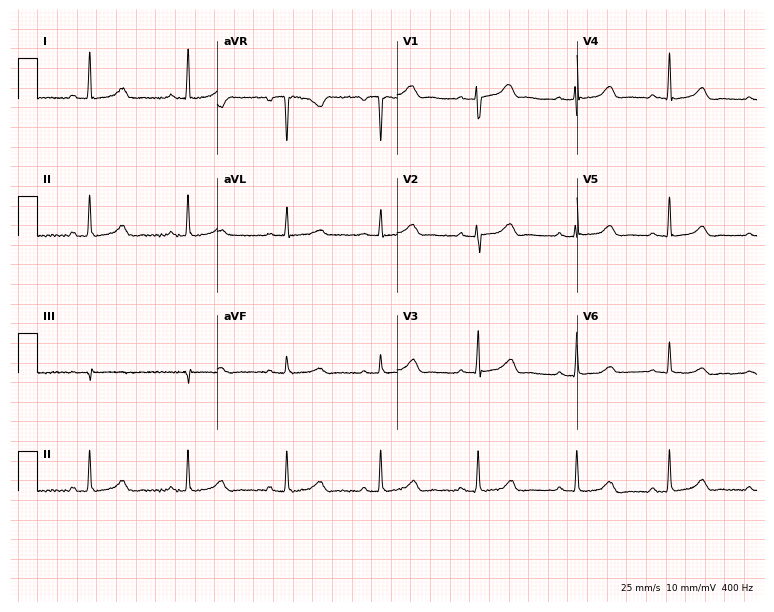
ECG — a woman, 46 years old. Screened for six findings — first-degree AV block, right bundle branch block (RBBB), left bundle branch block (LBBB), sinus bradycardia, atrial fibrillation (AF), sinus tachycardia — none is recorded.